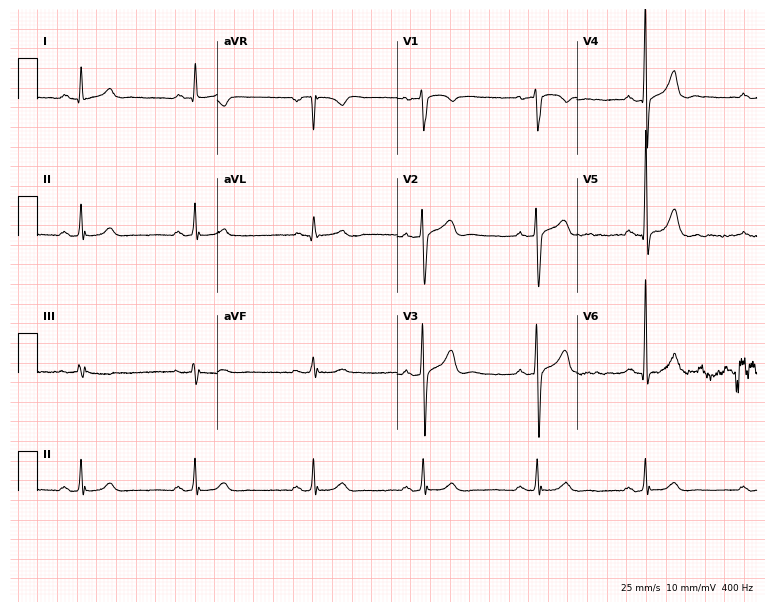
12-lead ECG from a 52-year-old male (7.3-second recording at 400 Hz). Recorded interpretation: within normal limits.